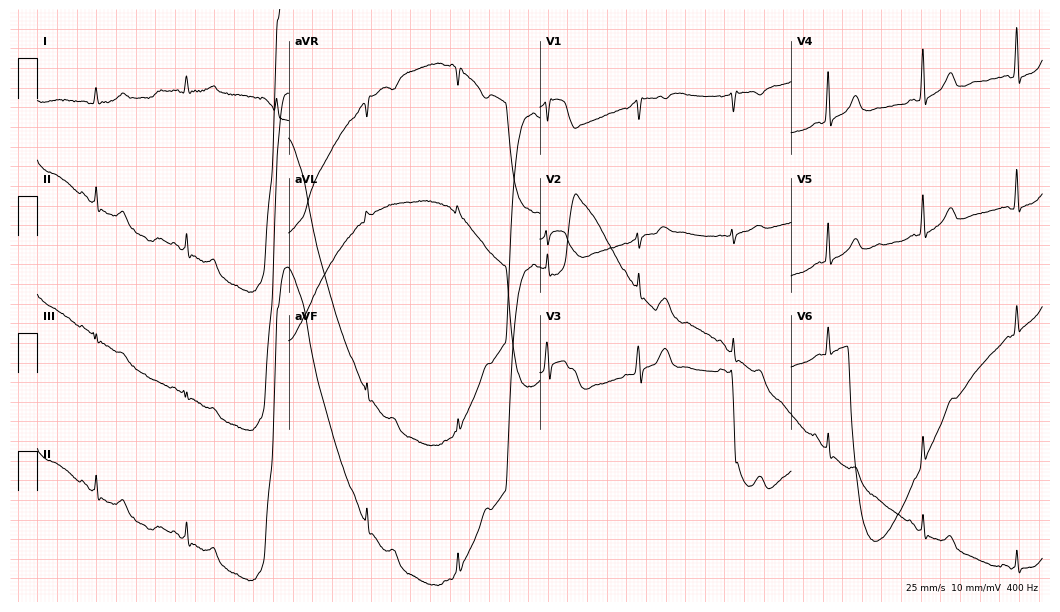
Electrocardiogram (10.2-second recording at 400 Hz), a female, 38 years old. Of the six screened findings (first-degree AV block, right bundle branch block (RBBB), left bundle branch block (LBBB), sinus bradycardia, atrial fibrillation (AF), sinus tachycardia), none is recorded.